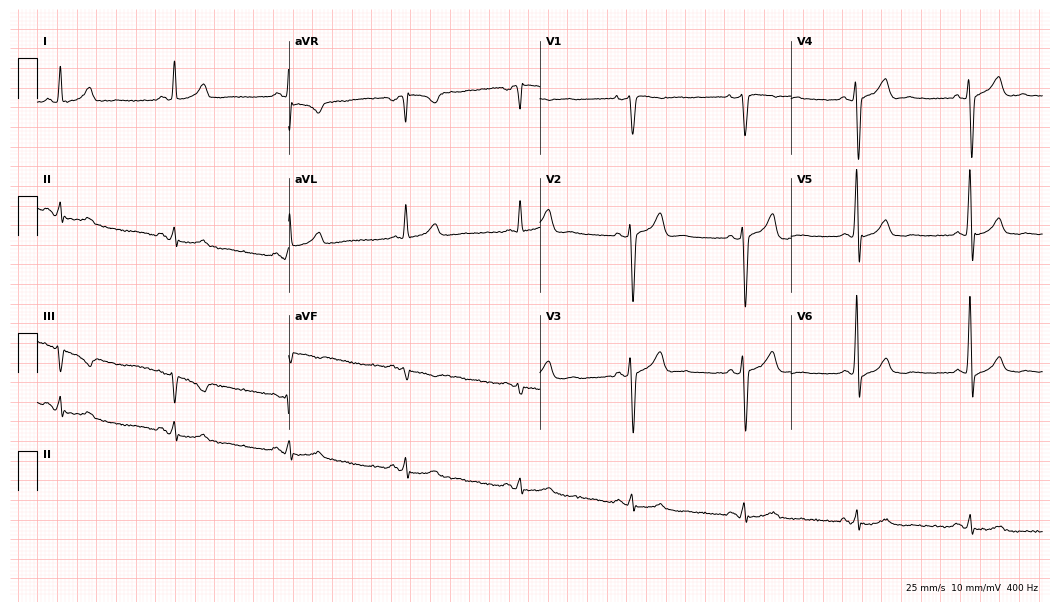
Resting 12-lead electrocardiogram (10.2-second recording at 400 Hz). Patient: a male, 57 years old. None of these six findings is recorded: first-degree AV block, right bundle branch block, left bundle branch block, sinus bradycardia, atrial fibrillation, sinus tachycardia. Findings outside these six are not listed.